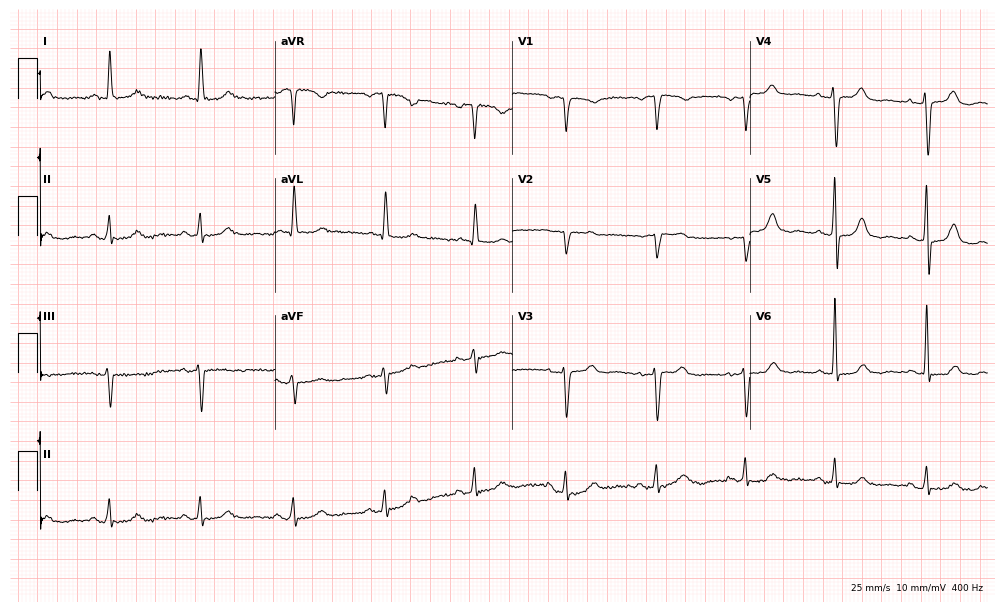
12-lead ECG from a 62-year-old woman. No first-degree AV block, right bundle branch block (RBBB), left bundle branch block (LBBB), sinus bradycardia, atrial fibrillation (AF) or sinus tachycardia recorded for this tracing. Other findings, if any, are not listed.